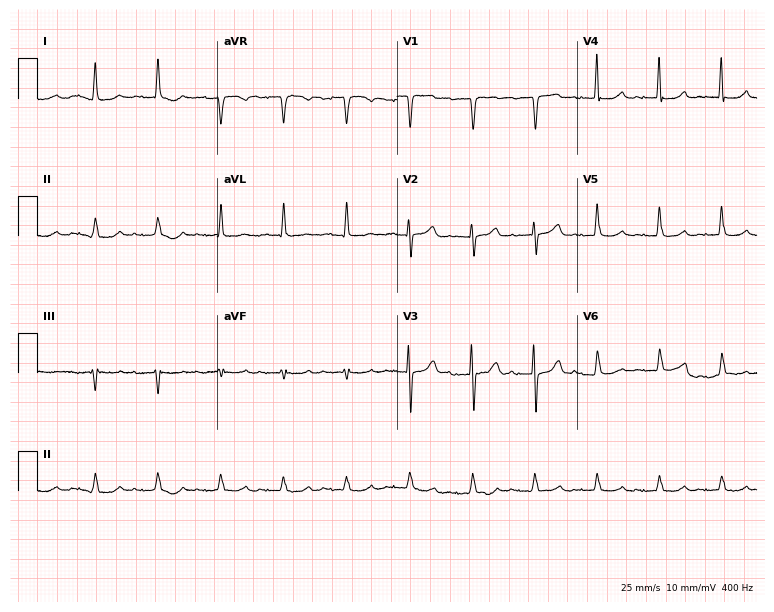
Standard 12-lead ECG recorded from a female, 79 years old. None of these six findings is recorded: first-degree AV block, right bundle branch block, left bundle branch block, sinus bradycardia, atrial fibrillation, sinus tachycardia. Findings outside these six are not listed.